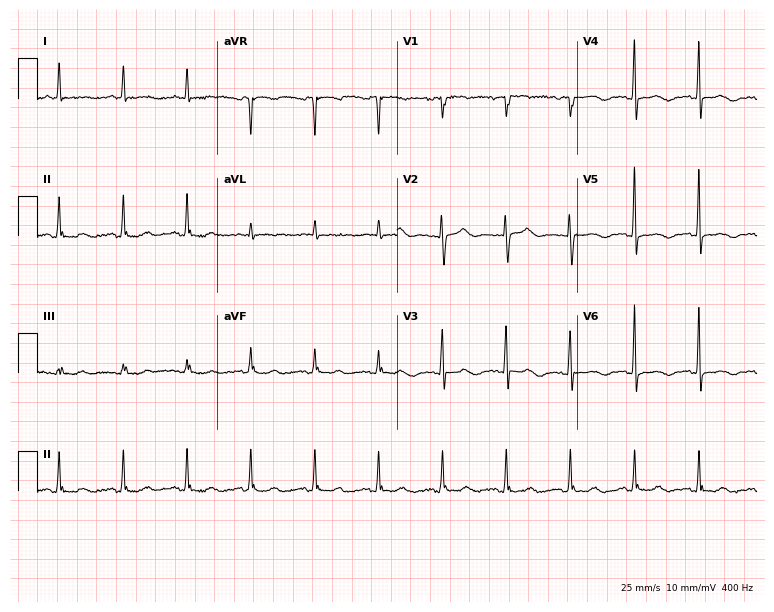
12-lead ECG from an 84-year-old female patient. Screened for six findings — first-degree AV block, right bundle branch block, left bundle branch block, sinus bradycardia, atrial fibrillation, sinus tachycardia — none is recorded.